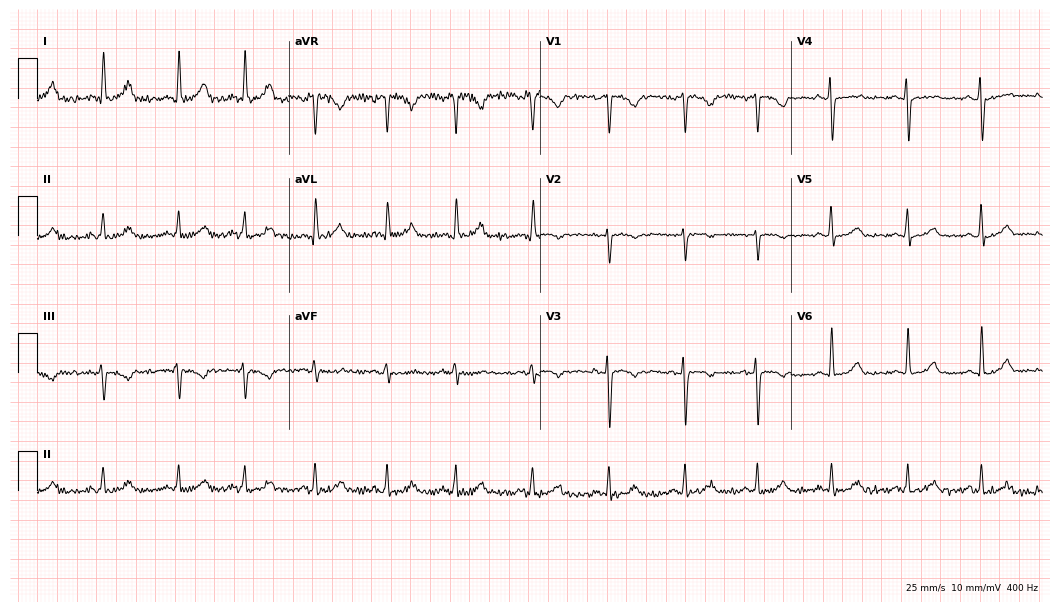
12-lead ECG from a 42-year-old woman. Recorded interpretation: within normal limits.